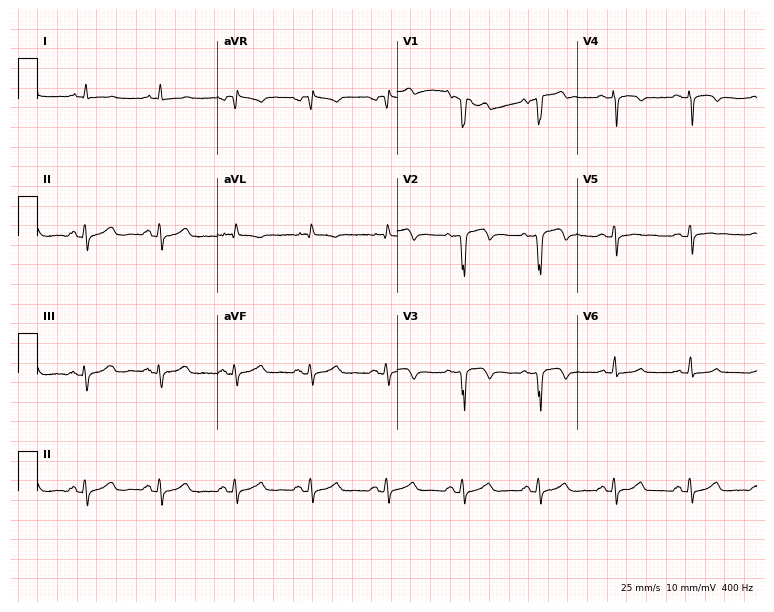
12-lead ECG from a 53-year-old male (7.3-second recording at 400 Hz). No first-degree AV block, right bundle branch block (RBBB), left bundle branch block (LBBB), sinus bradycardia, atrial fibrillation (AF) or sinus tachycardia recorded for this tracing.